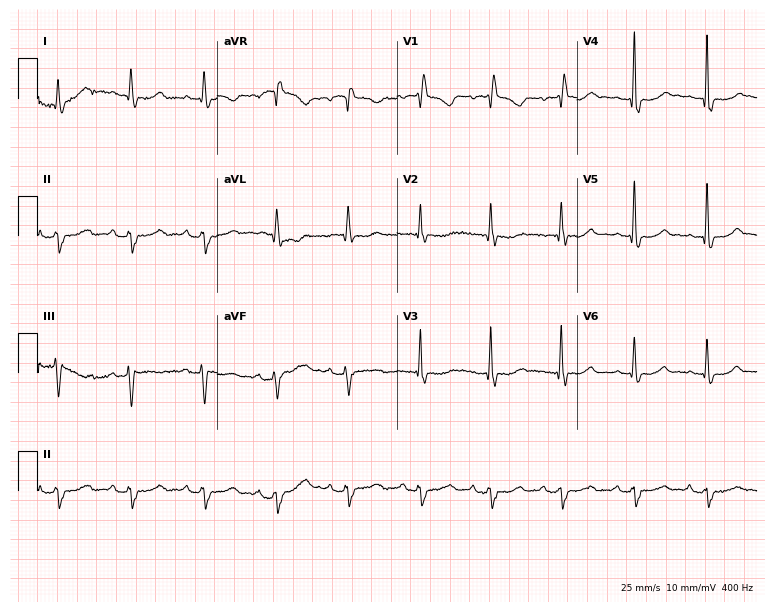
Resting 12-lead electrocardiogram. Patient: a 65-year-old female. None of these six findings is recorded: first-degree AV block, right bundle branch block, left bundle branch block, sinus bradycardia, atrial fibrillation, sinus tachycardia.